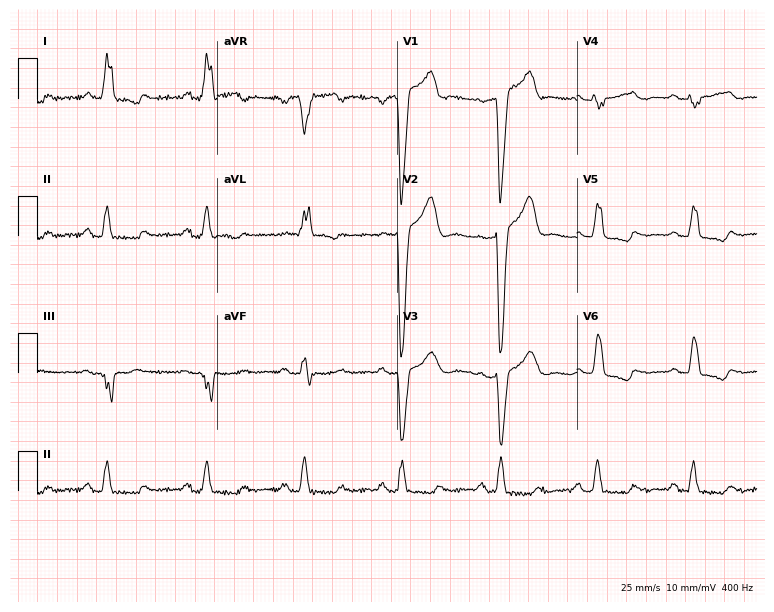
Standard 12-lead ECG recorded from a female patient, 57 years old. The tracing shows left bundle branch block.